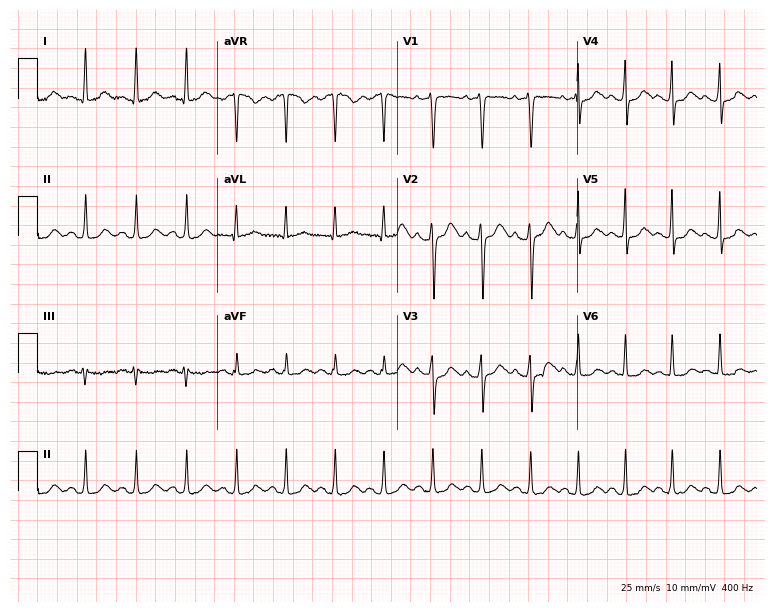
ECG — a 22-year-old woman. Screened for six findings — first-degree AV block, right bundle branch block, left bundle branch block, sinus bradycardia, atrial fibrillation, sinus tachycardia — none is recorded. Other findings, if any, are not listed.